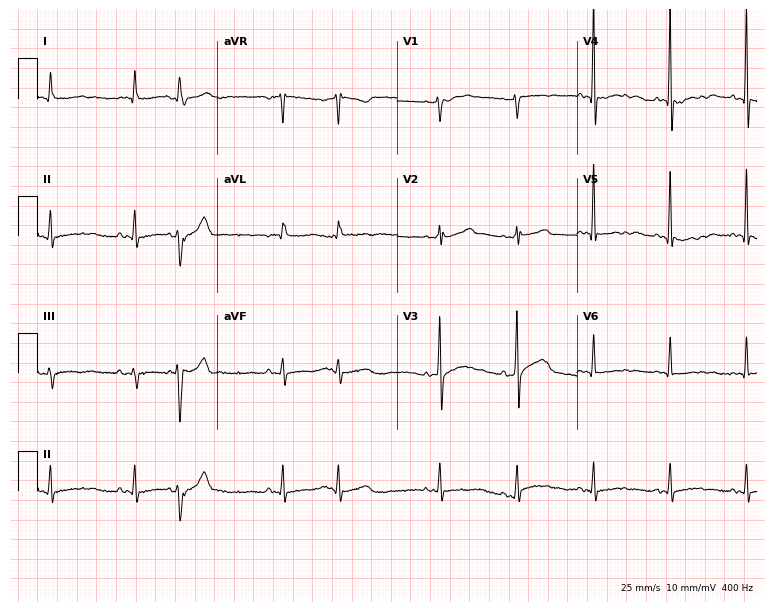
Standard 12-lead ECG recorded from a man, 65 years old. None of these six findings is recorded: first-degree AV block, right bundle branch block (RBBB), left bundle branch block (LBBB), sinus bradycardia, atrial fibrillation (AF), sinus tachycardia.